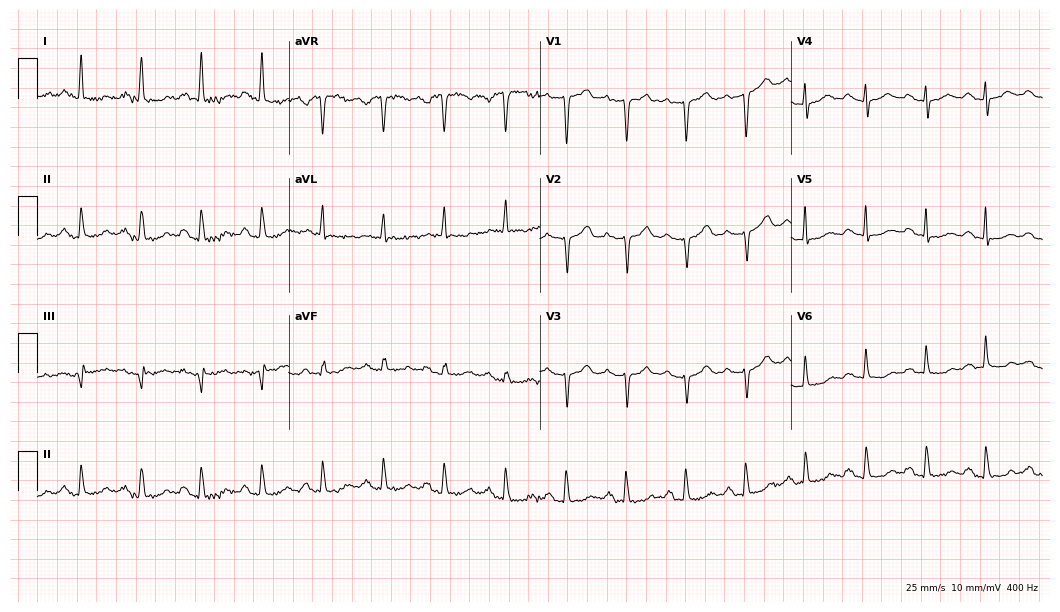
Electrocardiogram, a 57-year-old male patient. Of the six screened findings (first-degree AV block, right bundle branch block, left bundle branch block, sinus bradycardia, atrial fibrillation, sinus tachycardia), none is recorded.